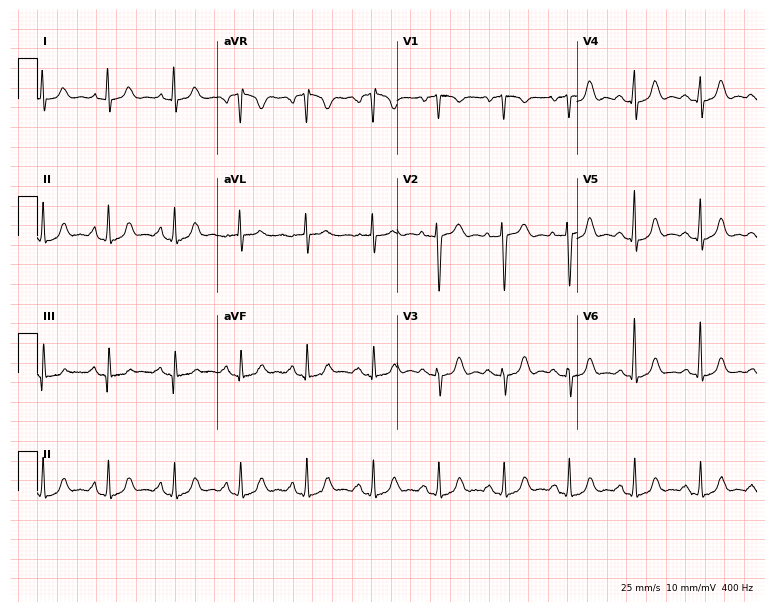
Resting 12-lead electrocardiogram. Patient: a 70-year-old woman. Read as a normal ECG.